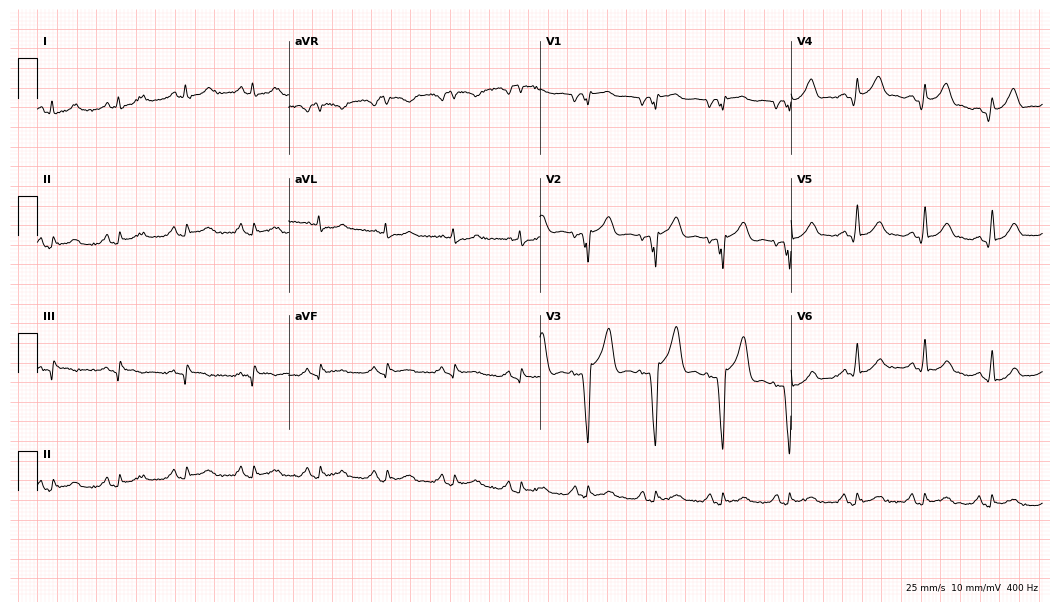
ECG — a 51-year-old man. Screened for six findings — first-degree AV block, right bundle branch block, left bundle branch block, sinus bradycardia, atrial fibrillation, sinus tachycardia — none is recorded. Findings outside these six are not listed.